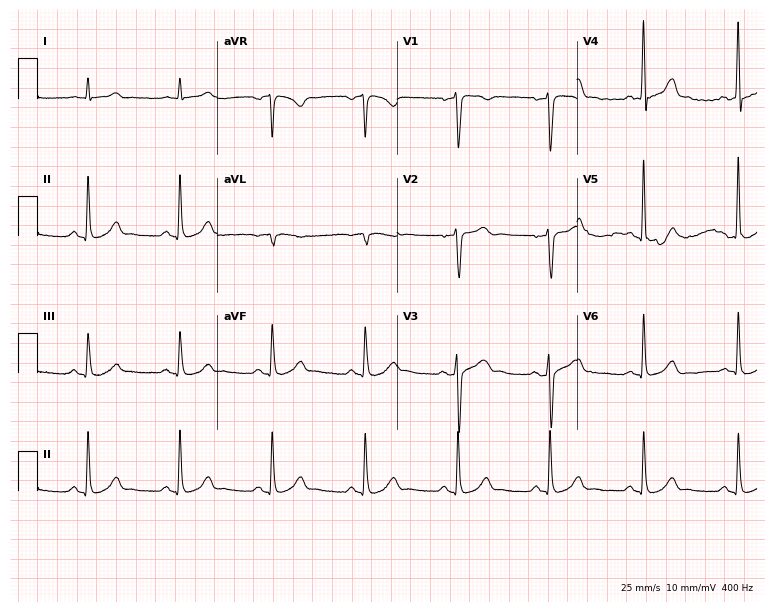
Resting 12-lead electrocardiogram. Patient: a 64-year-old male. Read as a normal ECG.